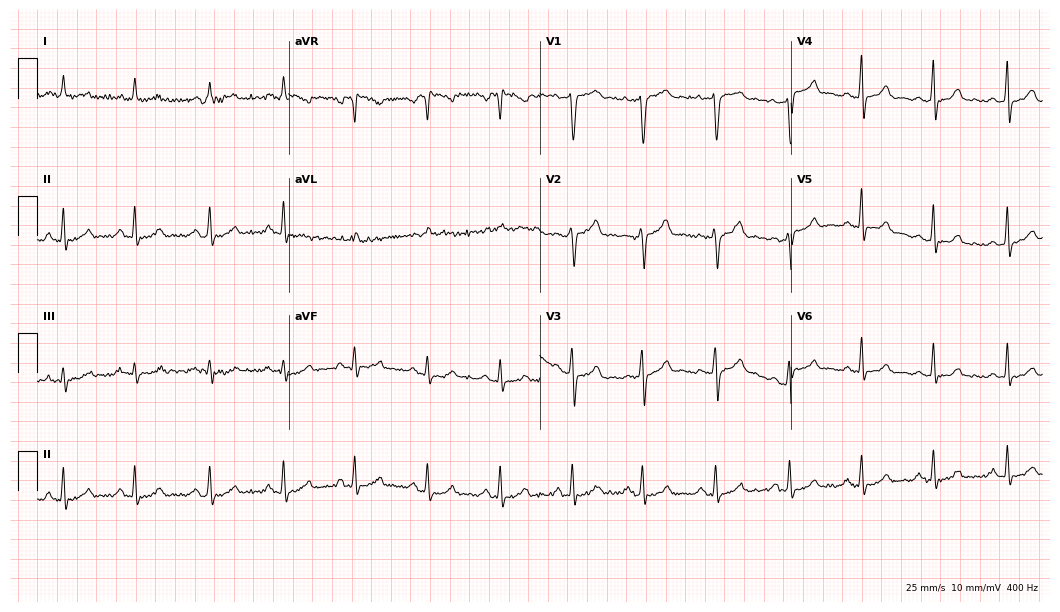
Resting 12-lead electrocardiogram (10.2-second recording at 400 Hz). Patient: a woman, 52 years old. None of these six findings is recorded: first-degree AV block, right bundle branch block, left bundle branch block, sinus bradycardia, atrial fibrillation, sinus tachycardia.